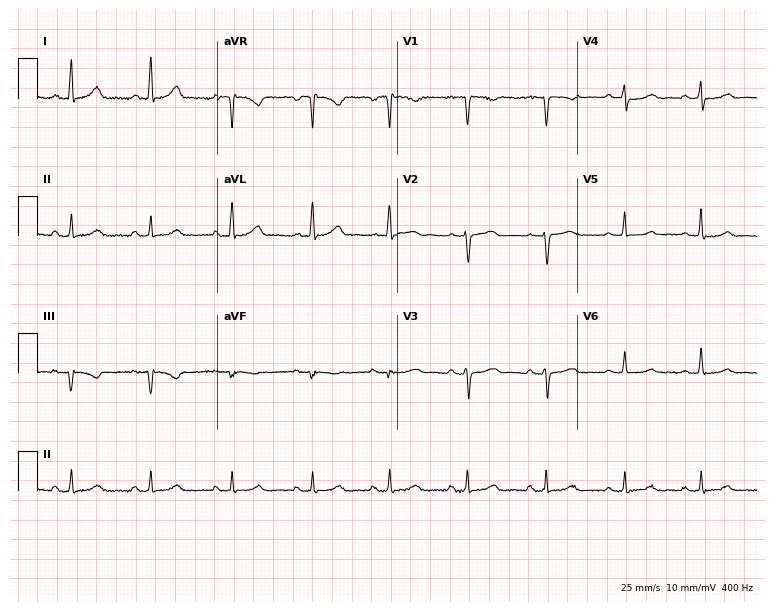
12-lead ECG (7.3-second recording at 400 Hz) from a female, 62 years old. Screened for six findings — first-degree AV block, right bundle branch block, left bundle branch block, sinus bradycardia, atrial fibrillation, sinus tachycardia — none is recorded.